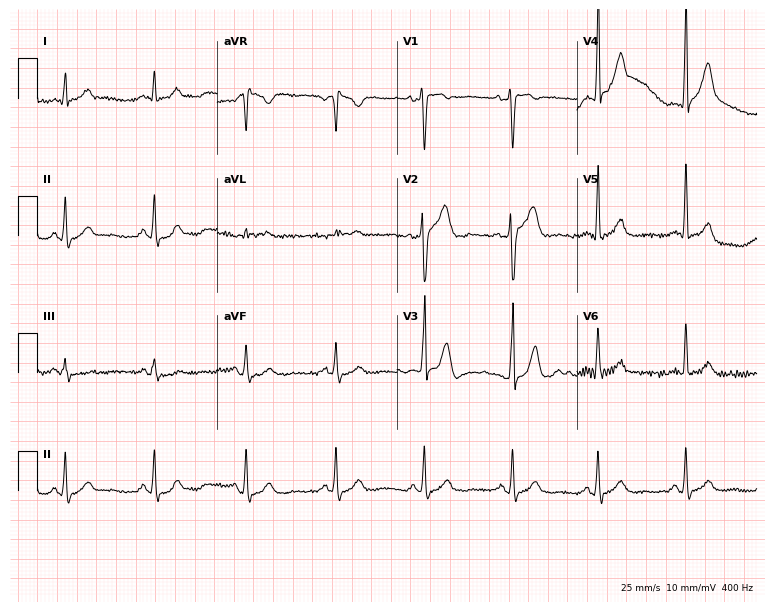
Resting 12-lead electrocardiogram (7.3-second recording at 400 Hz). Patient: a male, 37 years old. Read as a normal ECG.